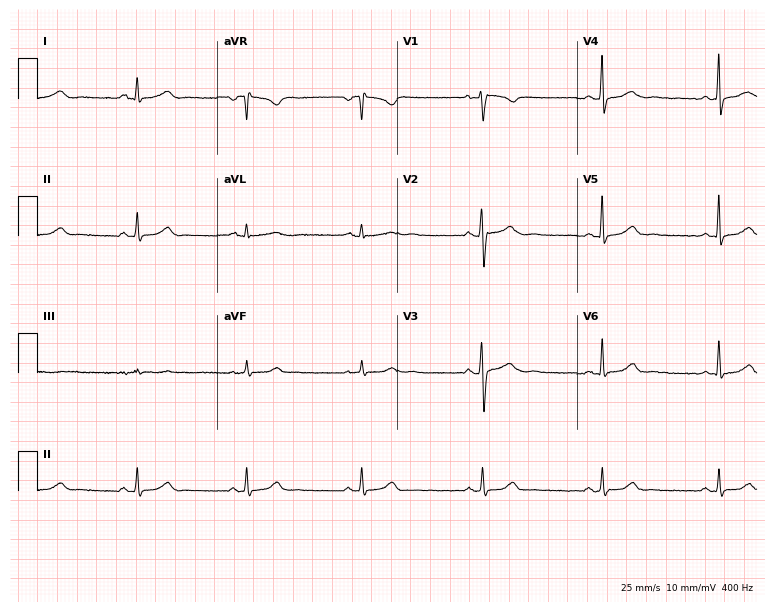
12-lead ECG from a 33-year-old female. Screened for six findings — first-degree AV block, right bundle branch block, left bundle branch block, sinus bradycardia, atrial fibrillation, sinus tachycardia — none is recorded.